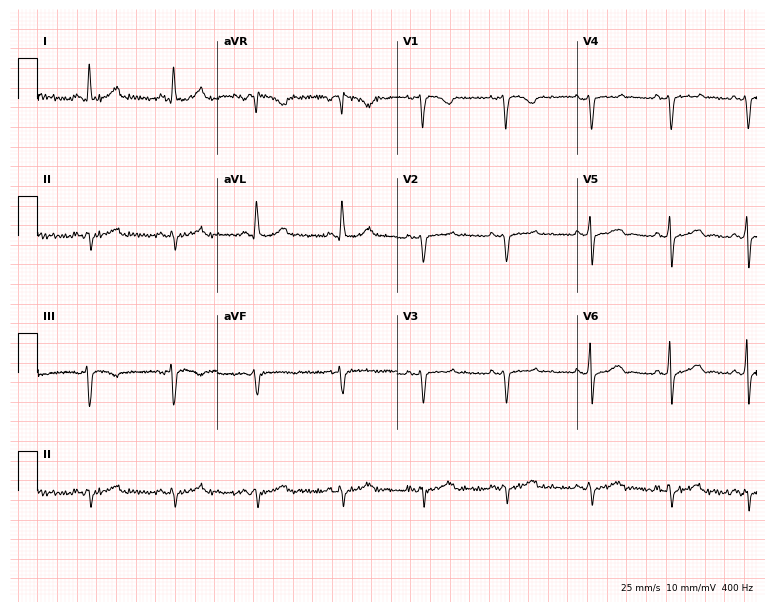
12-lead ECG from a 40-year-old woman. No first-degree AV block, right bundle branch block, left bundle branch block, sinus bradycardia, atrial fibrillation or sinus tachycardia recorded for this tracing.